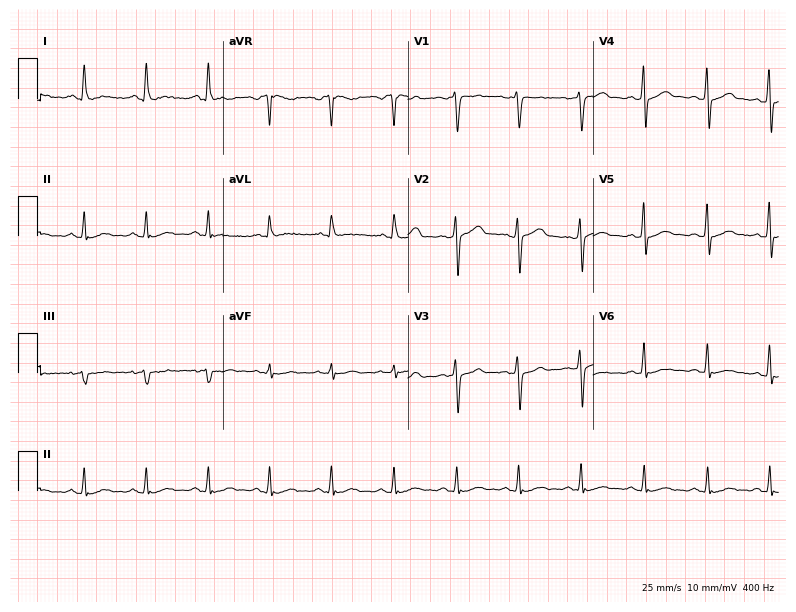
Electrocardiogram, a man, 37 years old. Of the six screened findings (first-degree AV block, right bundle branch block, left bundle branch block, sinus bradycardia, atrial fibrillation, sinus tachycardia), none is recorded.